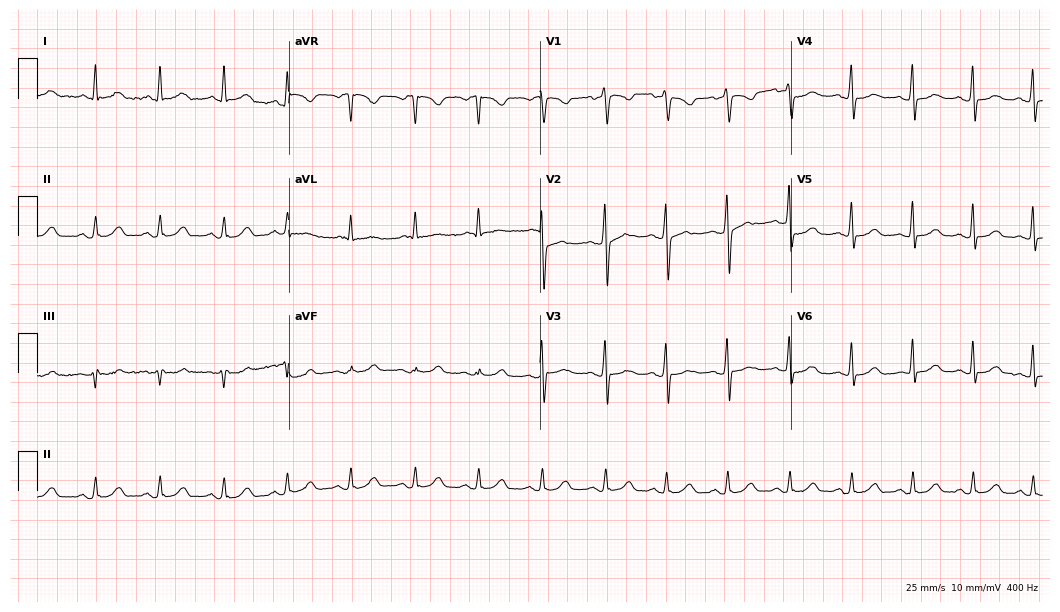
Resting 12-lead electrocardiogram (10.2-second recording at 400 Hz). Patient: a 59-year-old female. None of these six findings is recorded: first-degree AV block, right bundle branch block, left bundle branch block, sinus bradycardia, atrial fibrillation, sinus tachycardia. Other findings, if any, are not listed.